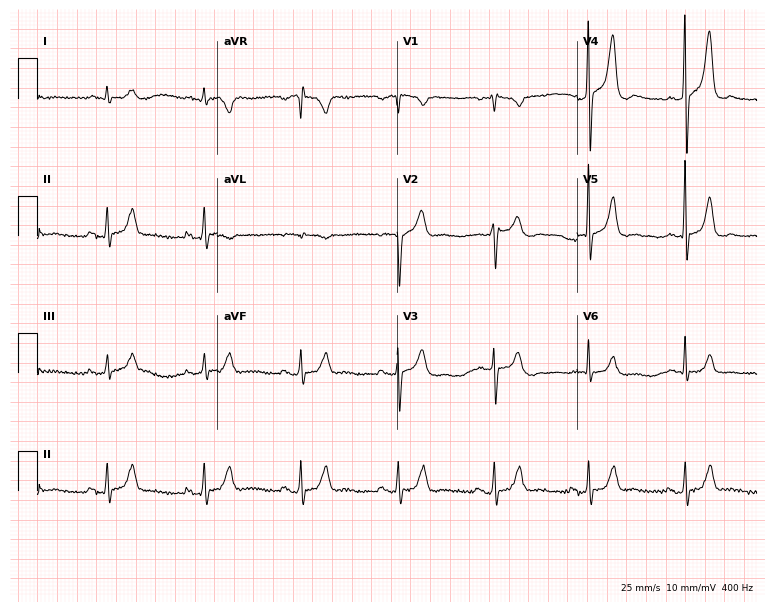
Electrocardiogram (7.3-second recording at 400 Hz), a man, 57 years old. Overall reading on record: normal ECG.